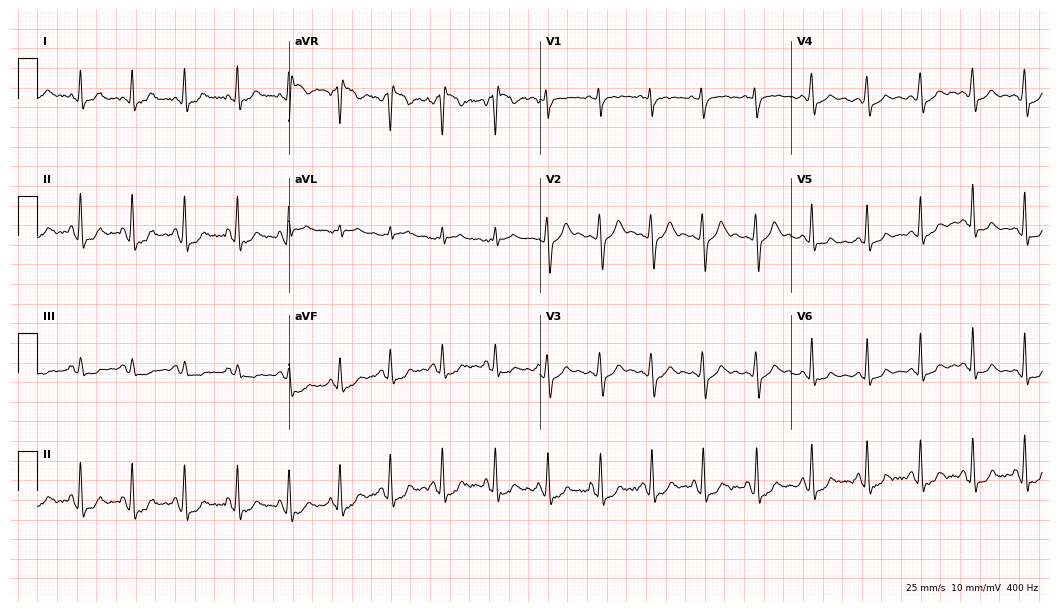
Electrocardiogram (10.2-second recording at 400 Hz), a 36-year-old woman. Interpretation includes sinus tachycardia (a sinus rate of 100 beats per minute or more).